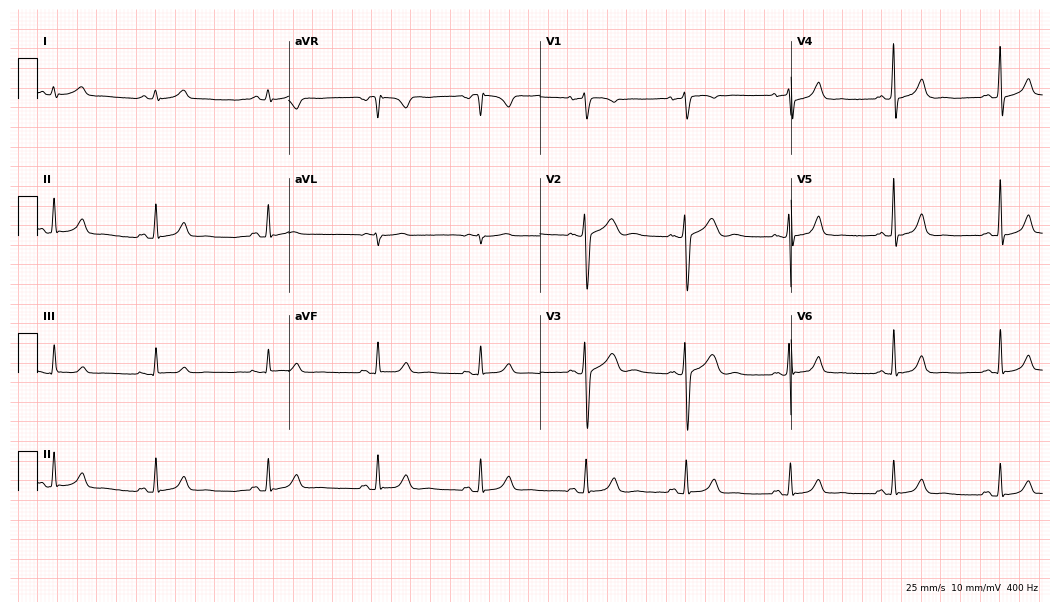
12-lead ECG from a 37-year-old man. Labelled as a normal ECG.